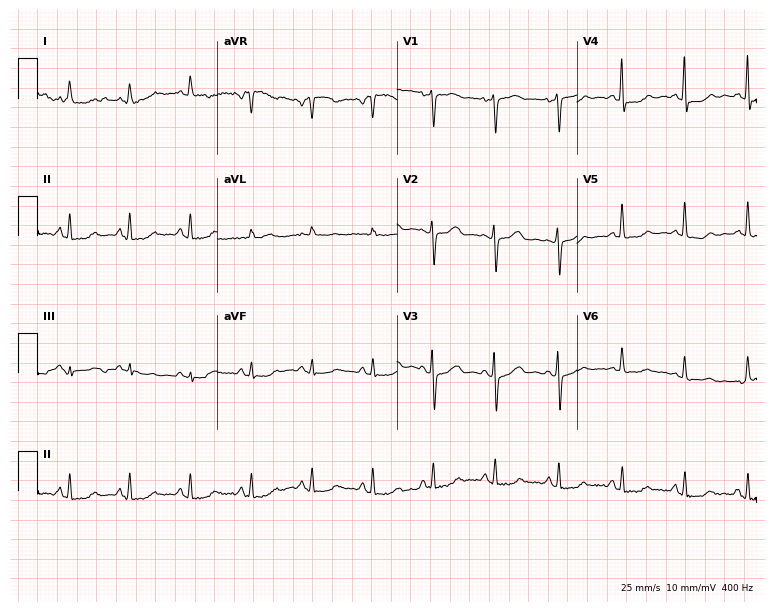
ECG — a female patient, 48 years old. Screened for six findings — first-degree AV block, right bundle branch block, left bundle branch block, sinus bradycardia, atrial fibrillation, sinus tachycardia — none is recorded. Findings outside these six are not listed.